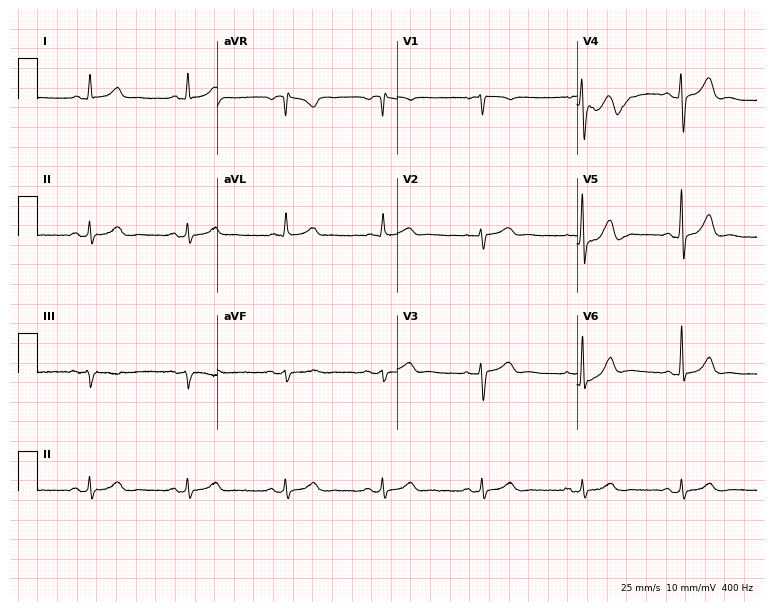
Electrocardiogram (7.3-second recording at 400 Hz), a man, 66 years old. Overall reading on record: normal ECG.